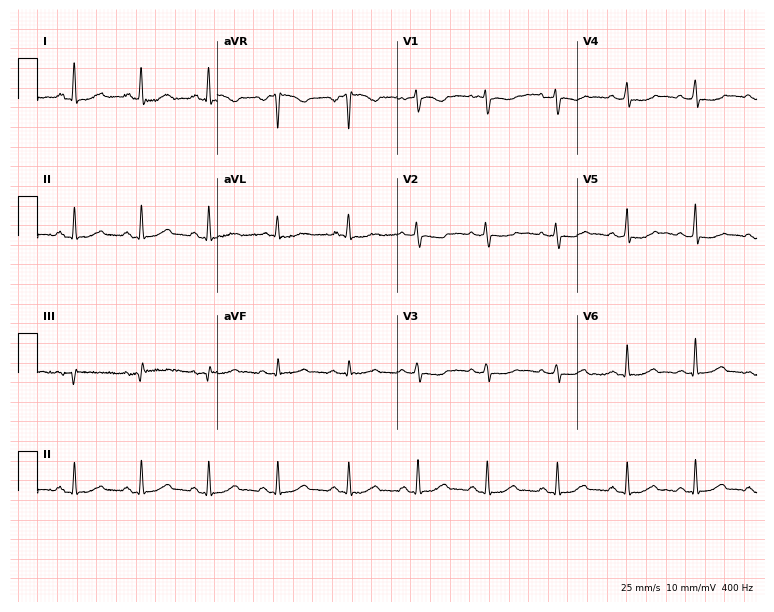
Resting 12-lead electrocardiogram. Patient: a female, 58 years old. None of these six findings is recorded: first-degree AV block, right bundle branch block (RBBB), left bundle branch block (LBBB), sinus bradycardia, atrial fibrillation (AF), sinus tachycardia.